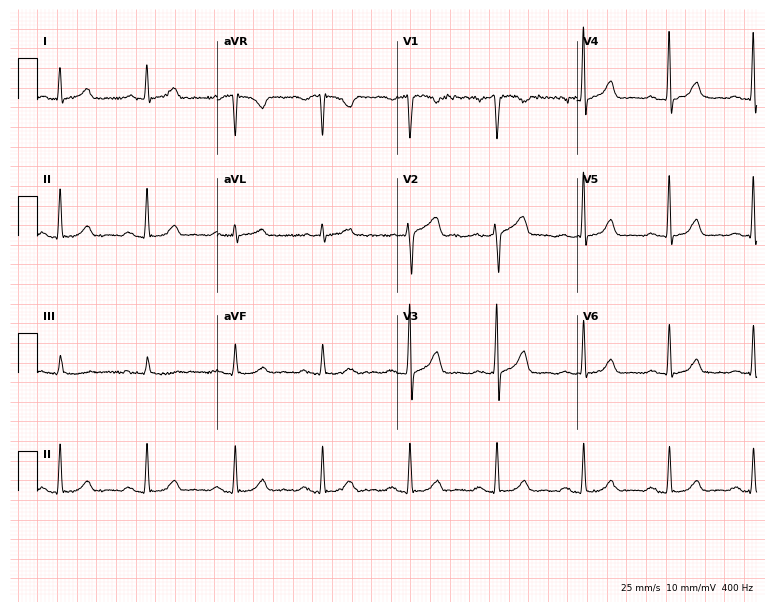
Electrocardiogram, a 55-year-old male. Overall reading on record: normal ECG.